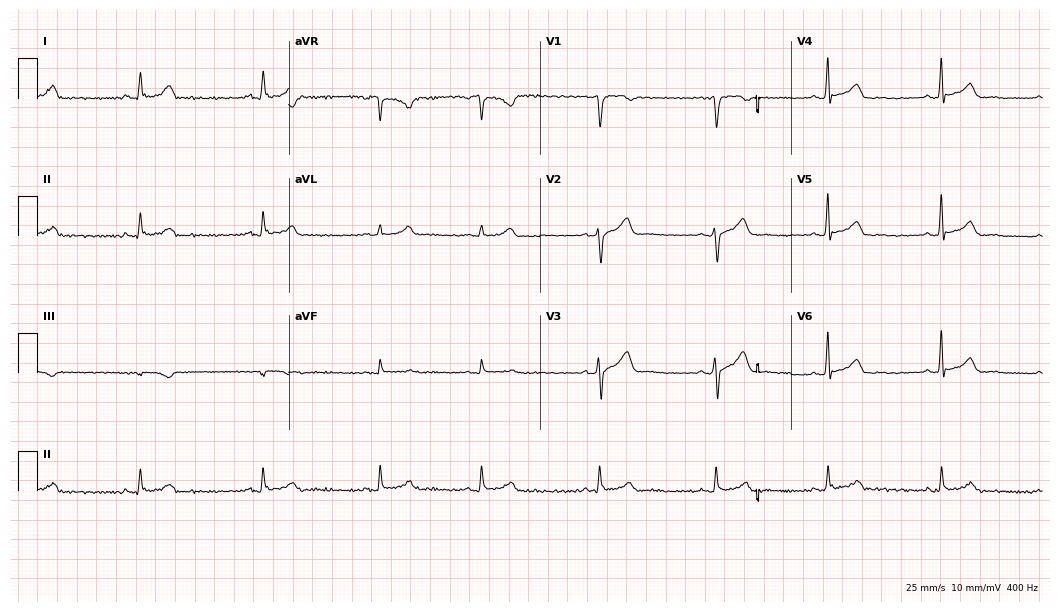
ECG — a 53-year-old male patient. Labelled as a normal ECG.